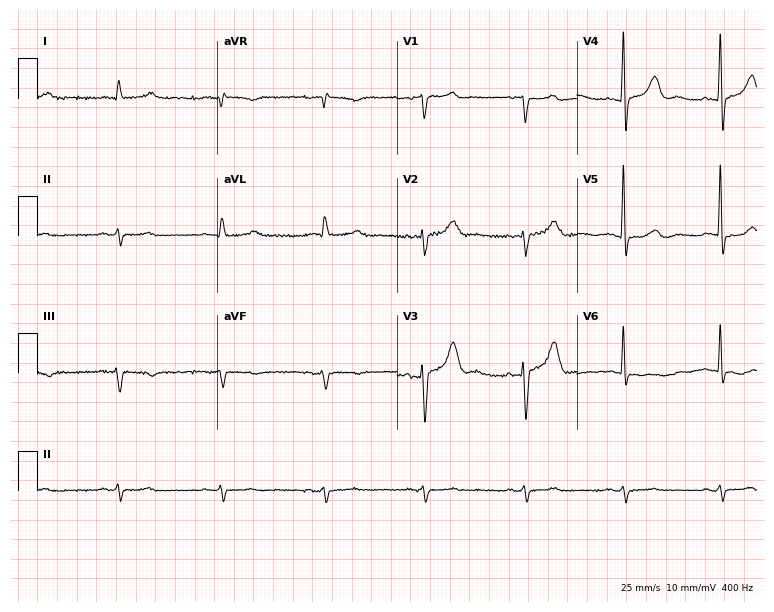
ECG (7.3-second recording at 400 Hz) — an 82-year-old male patient. Screened for six findings — first-degree AV block, right bundle branch block (RBBB), left bundle branch block (LBBB), sinus bradycardia, atrial fibrillation (AF), sinus tachycardia — none is recorded. Other findings, if any, are not listed.